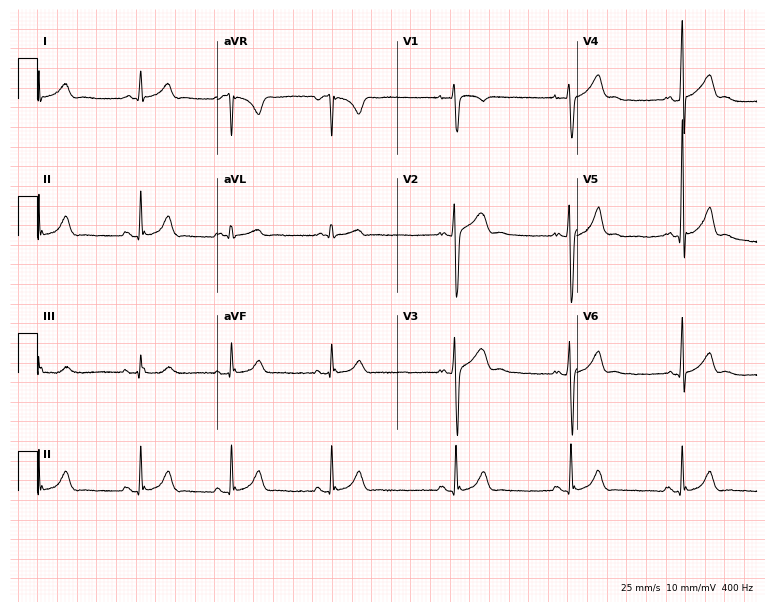
Electrocardiogram, a man, 20 years old. Overall reading on record: normal ECG.